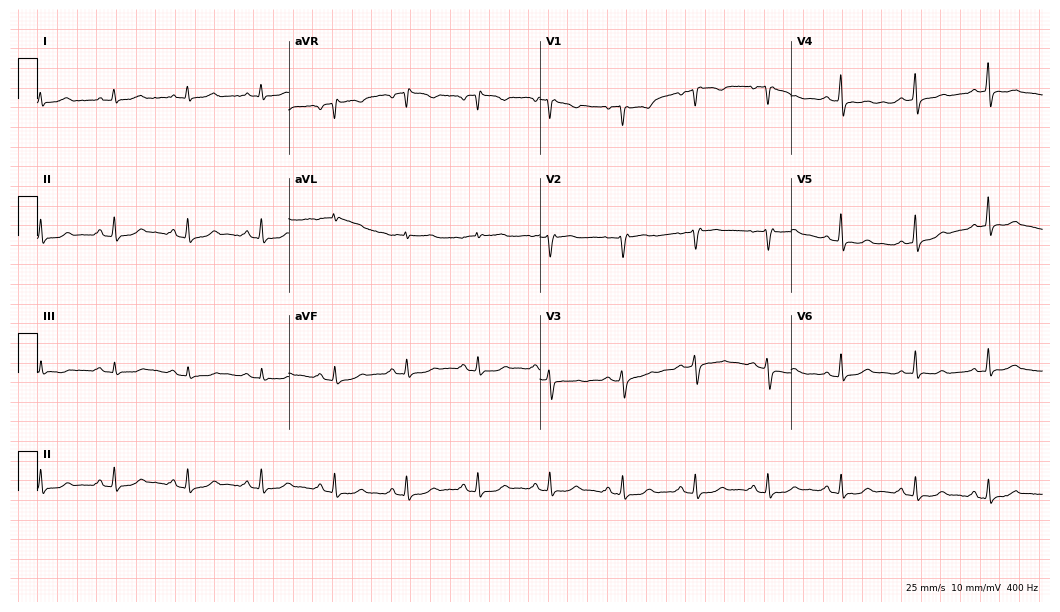
Electrocardiogram (10.2-second recording at 400 Hz), a 44-year-old woman. Overall reading on record: normal ECG.